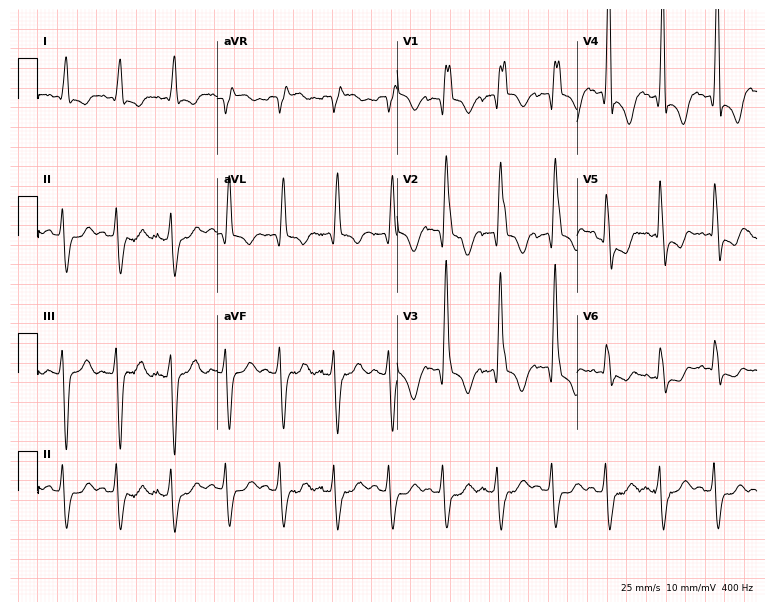
12-lead ECG (7.3-second recording at 400 Hz) from a woman, 76 years old. Findings include right bundle branch block.